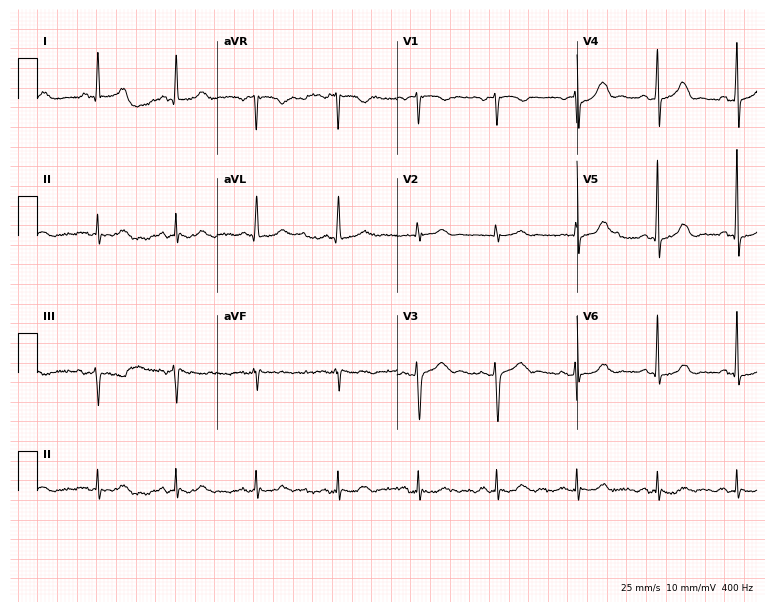
12-lead ECG from a female patient, 67 years old. Recorded interpretation: within normal limits.